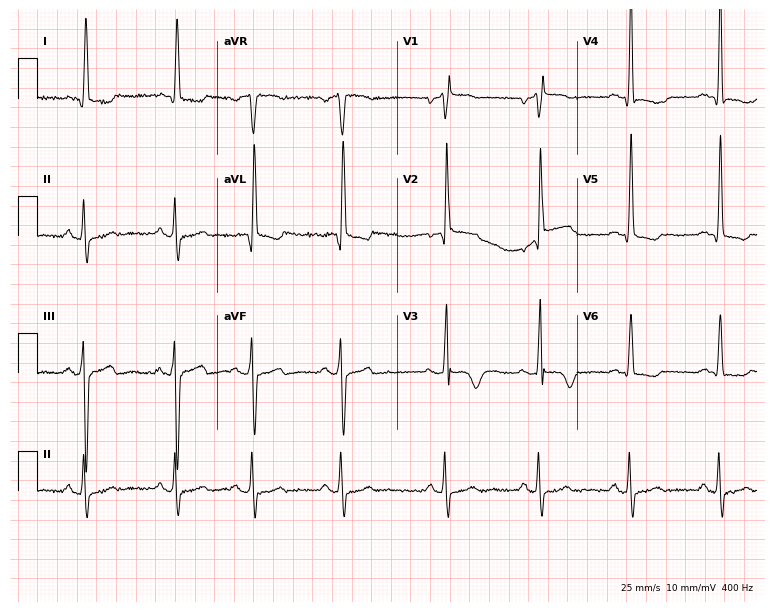
12-lead ECG (7.3-second recording at 400 Hz) from a female patient, 79 years old. Findings include right bundle branch block.